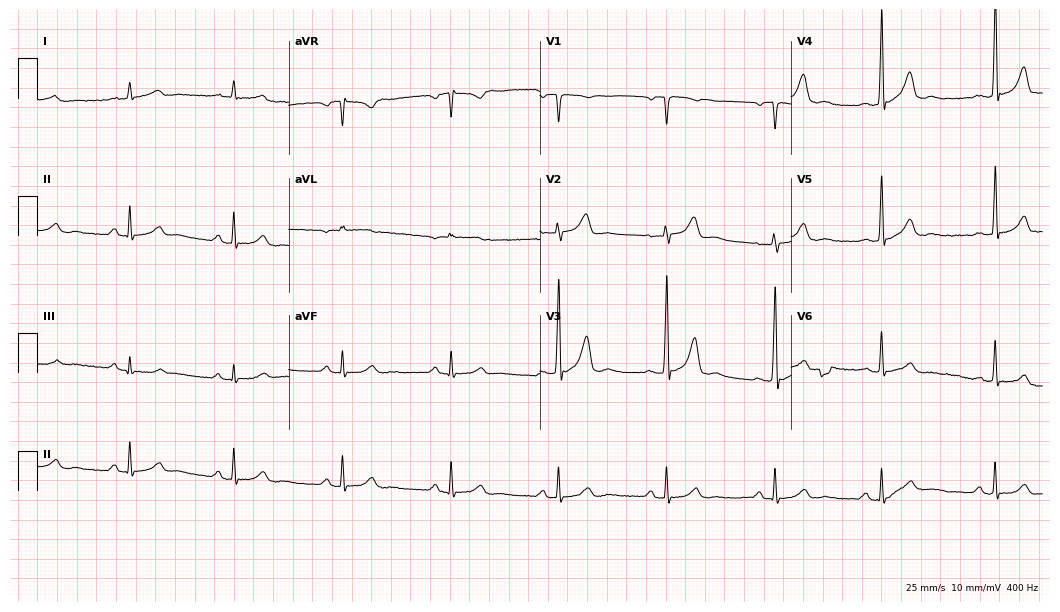
12-lead ECG from a 63-year-old male. Labelled as a normal ECG.